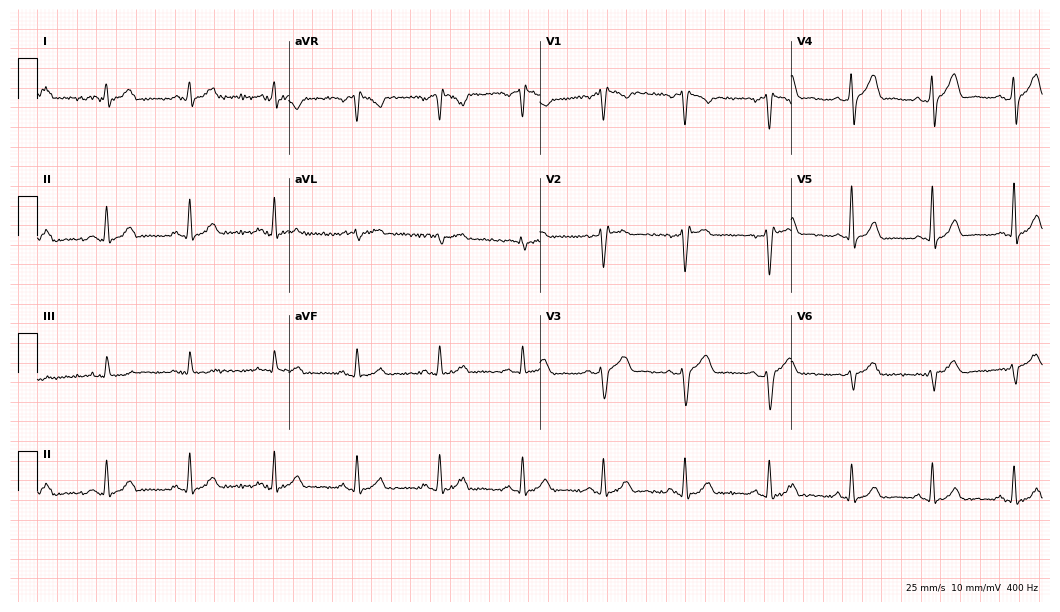
Electrocardiogram, a 39-year-old male patient. Of the six screened findings (first-degree AV block, right bundle branch block, left bundle branch block, sinus bradycardia, atrial fibrillation, sinus tachycardia), none is recorded. Findings outside these six are not listed.